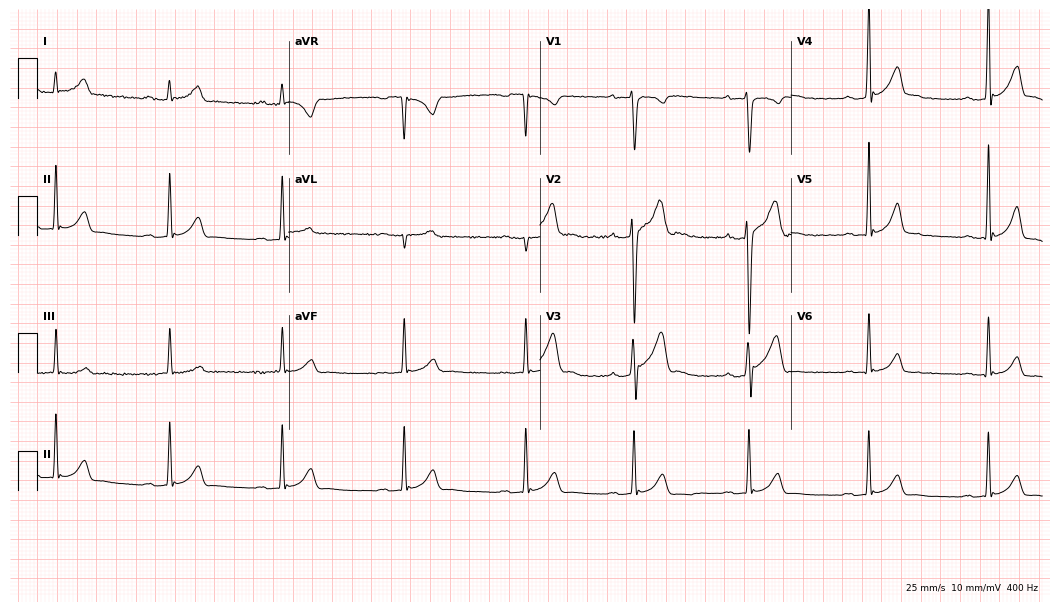
Resting 12-lead electrocardiogram. Patient: a man, 17 years old. Read as a normal ECG.